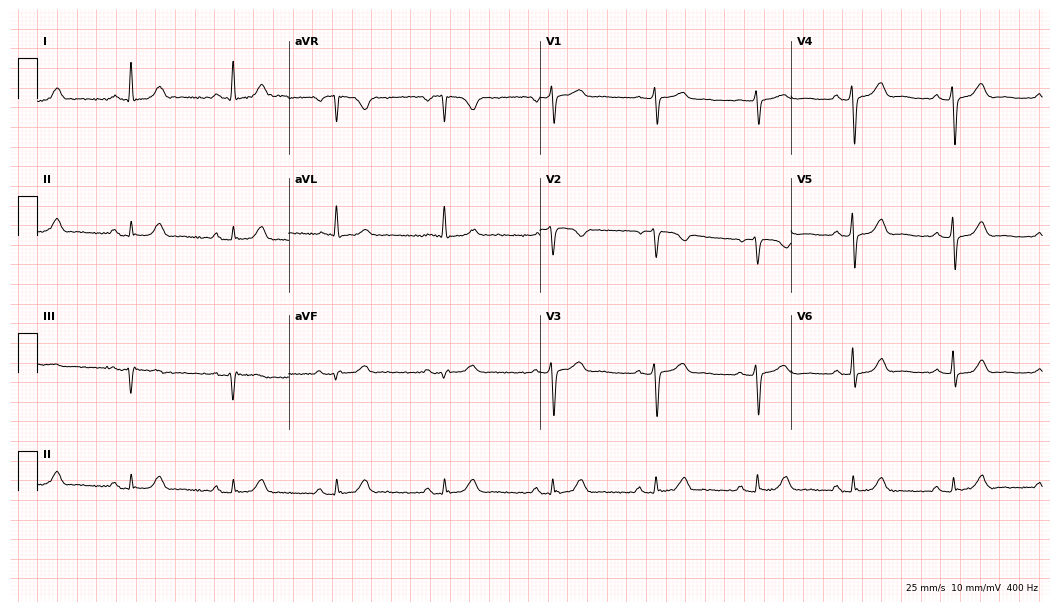
12-lead ECG from a woman, 52 years old. Screened for six findings — first-degree AV block, right bundle branch block, left bundle branch block, sinus bradycardia, atrial fibrillation, sinus tachycardia — none is recorded.